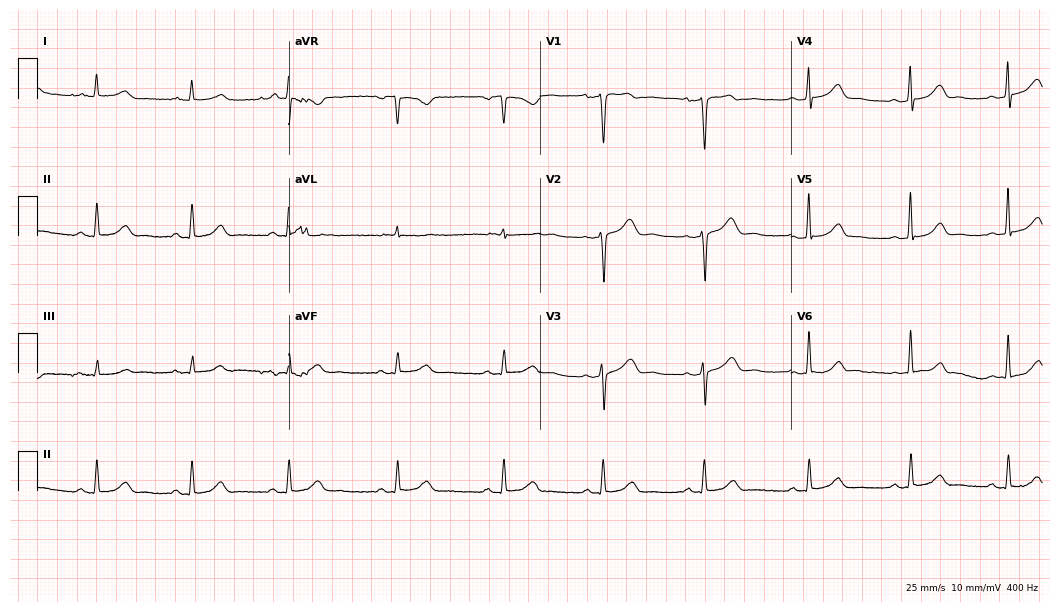
Resting 12-lead electrocardiogram. Patient: a woman, 59 years old. Read as a normal ECG.